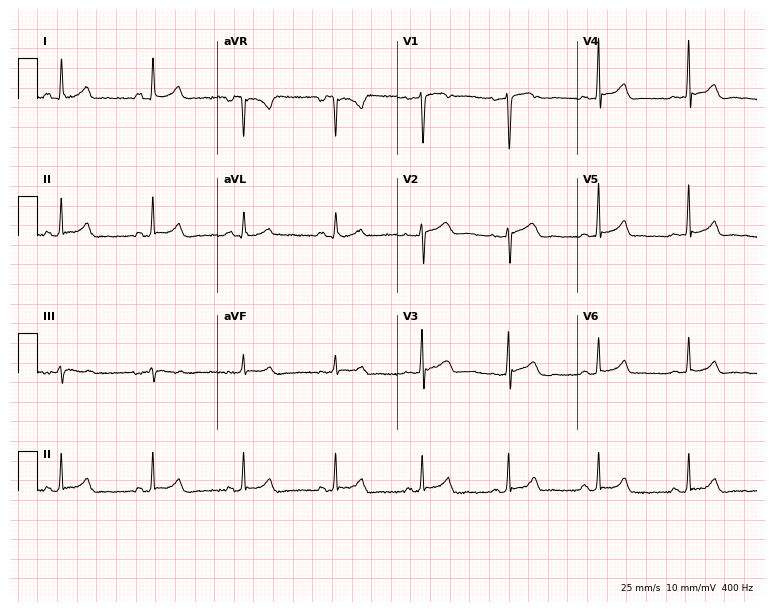
ECG — a woman, 30 years old. Screened for six findings — first-degree AV block, right bundle branch block (RBBB), left bundle branch block (LBBB), sinus bradycardia, atrial fibrillation (AF), sinus tachycardia — none is recorded.